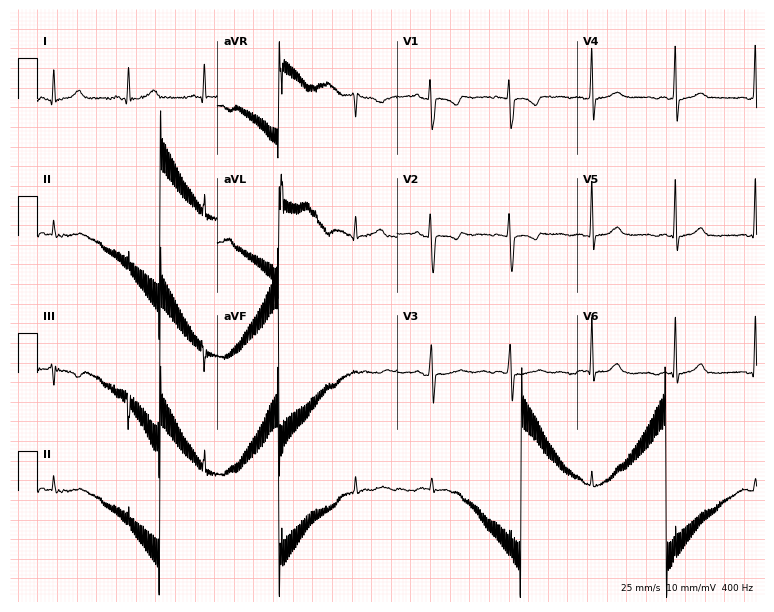
Standard 12-lead ECG recorded from a female, 40 years old. None of these six findings is recorded: first-degree AV block, right bundle branch block, left bundle branch block, sinus bradycardia, atrial fibrillation, sinus tachycardia.